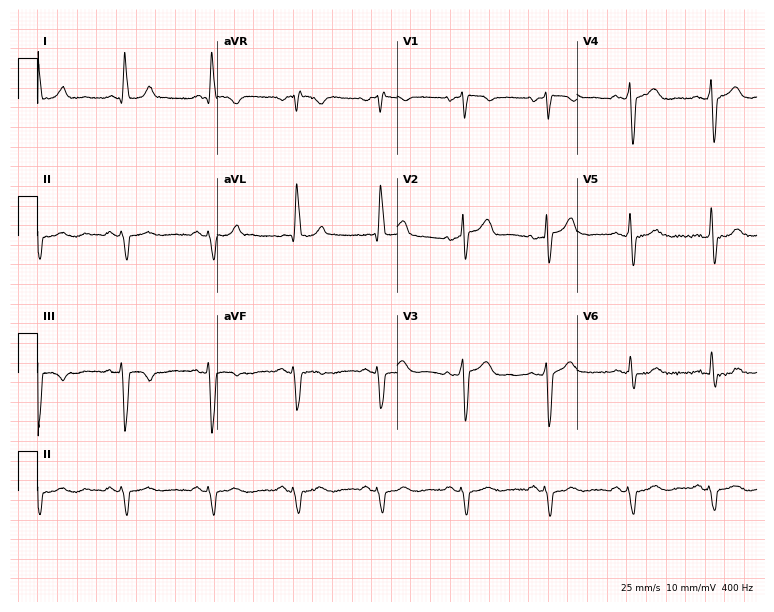
Electrocardiogram, a 68-year-old male patient. Of the six screened findings (first-degree AV block, right bundle branch block (RBBB), left bundle branch block (LBBB), sinus bradycardia, atrial fibrillation (AF), sinus tachycardia), none is recorded.